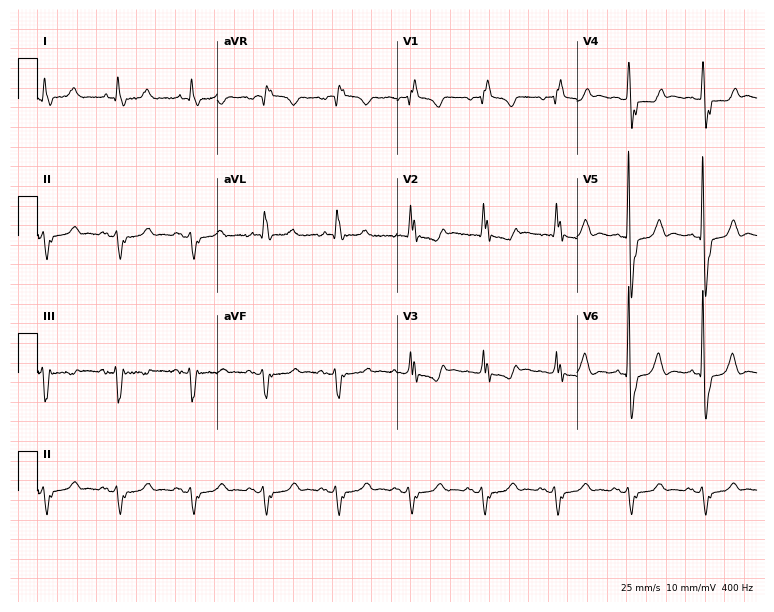
12-lead ECG from an 84-year-old man. Findings include right bundle branch block.